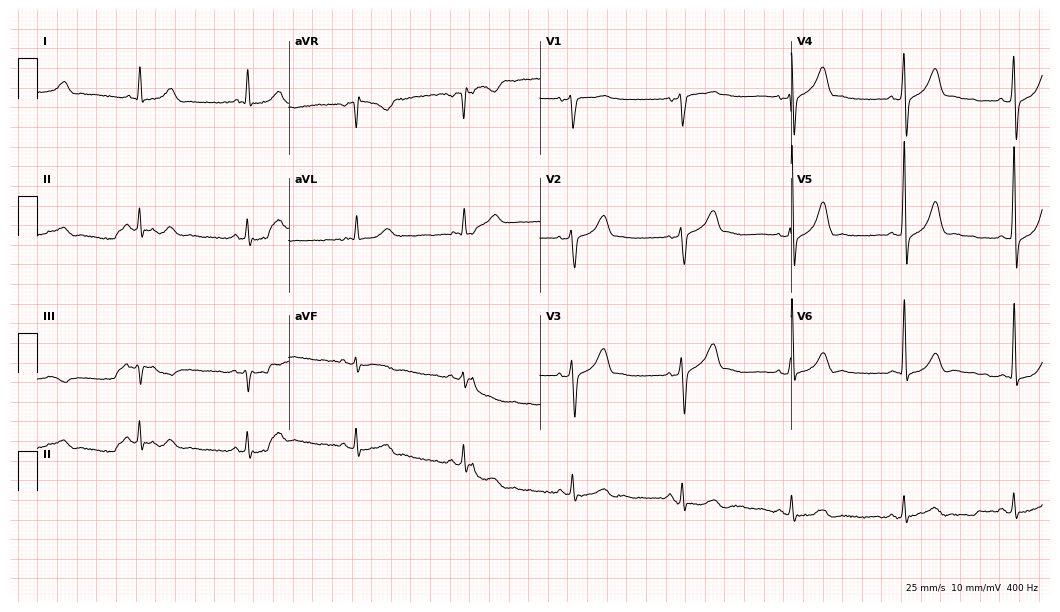
Standard 12-lead ECG recorded from a male patient, 68 years old (10.2-second recording at 400 Hz). Read as a normal ECG.